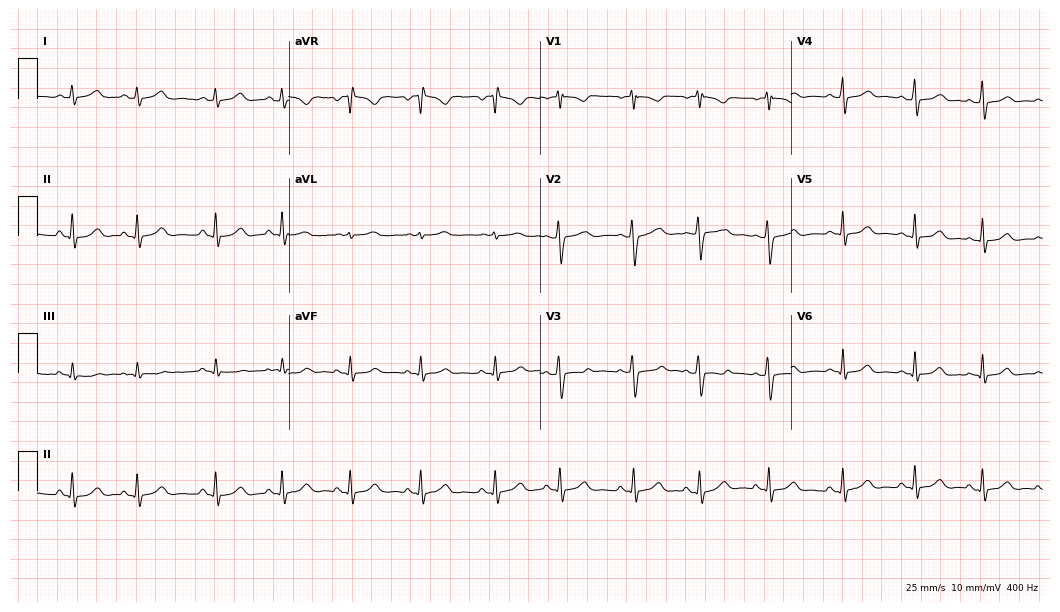
Resting 12-lead electrocardiogram. Patient: a 19-year-old female. Read as a normal ECG.